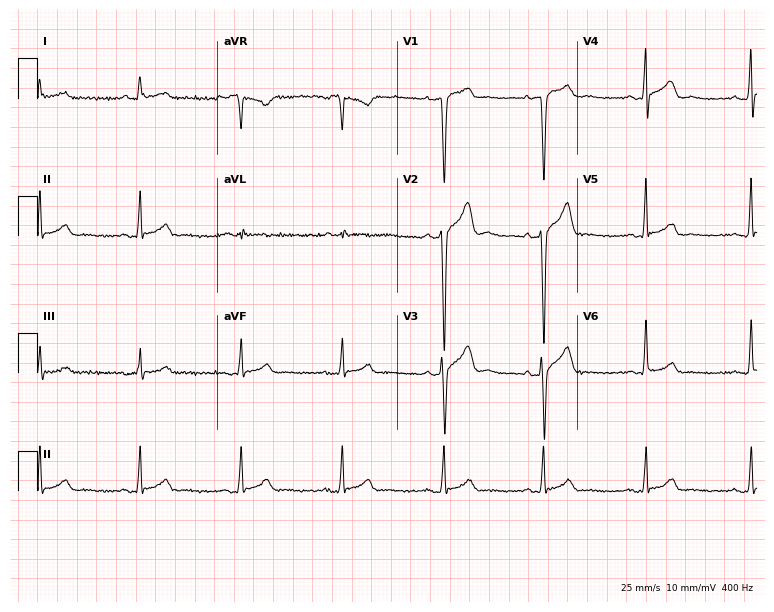
Standard 12-lead ECG recorded from a male patient, 37 years old (7.3-second recording at 400 Hz). Read as a normal ECG.